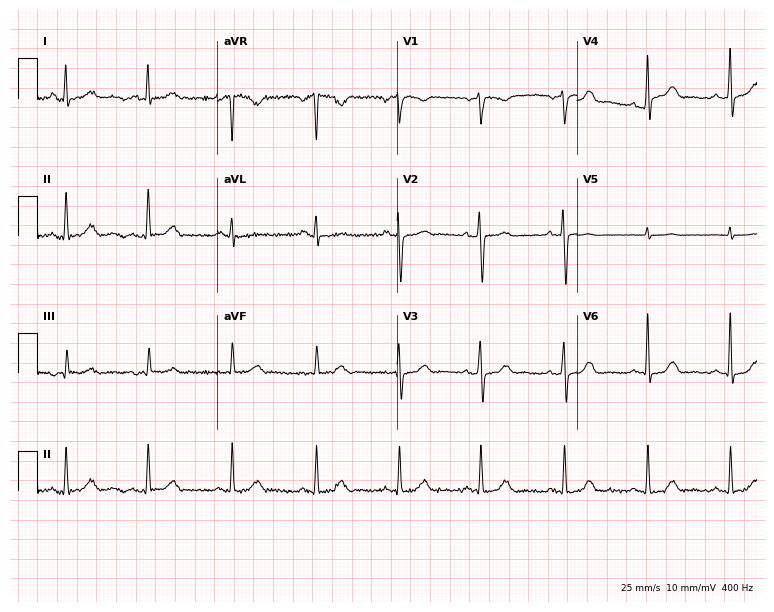
Standard 12-lead ECG recorded from a 51-year-old female. Read as a normal ECG.